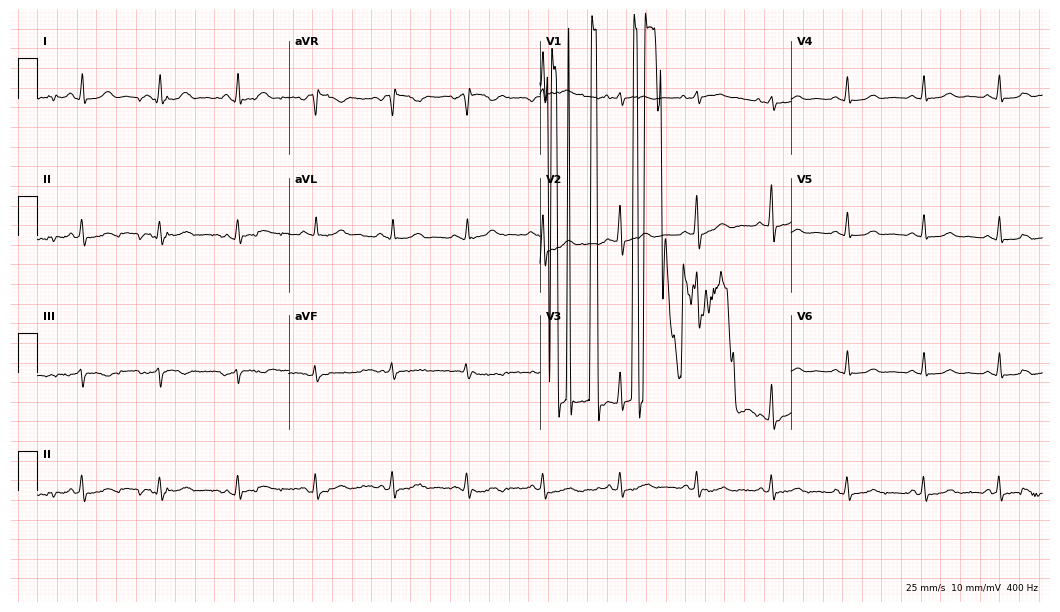
Standard 12-lead ECG recorded from a 57-year-old woman. None of these six findings is recorded: first-degree AV block, right bundle branch block, left bundle branch block, sinus bradycardia, atrial fibrillation, sinus tachycardia. Only these six findings were labelled.